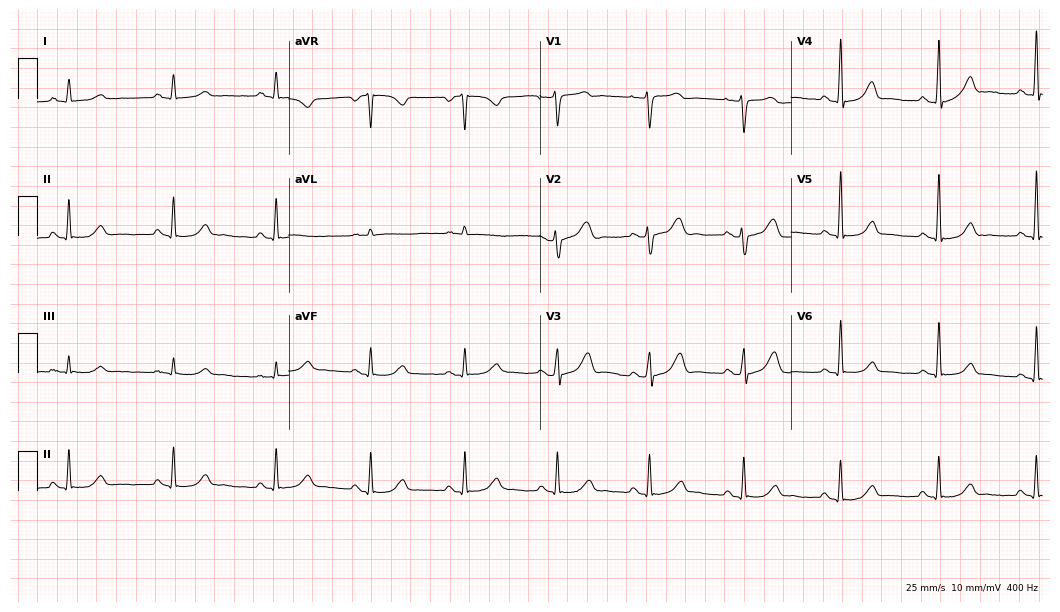
Resting 12-lead electrocardiogram (10.2-second recording at 400 Hz). Patient: a 50-year-old woman. None of these six findings is recorded: first-degree AV block, right bundle branch block, left bundle branch block, sinus bradycardia, atrial fibrillation, sinus tachycardia. Findings outside these six are not listed.